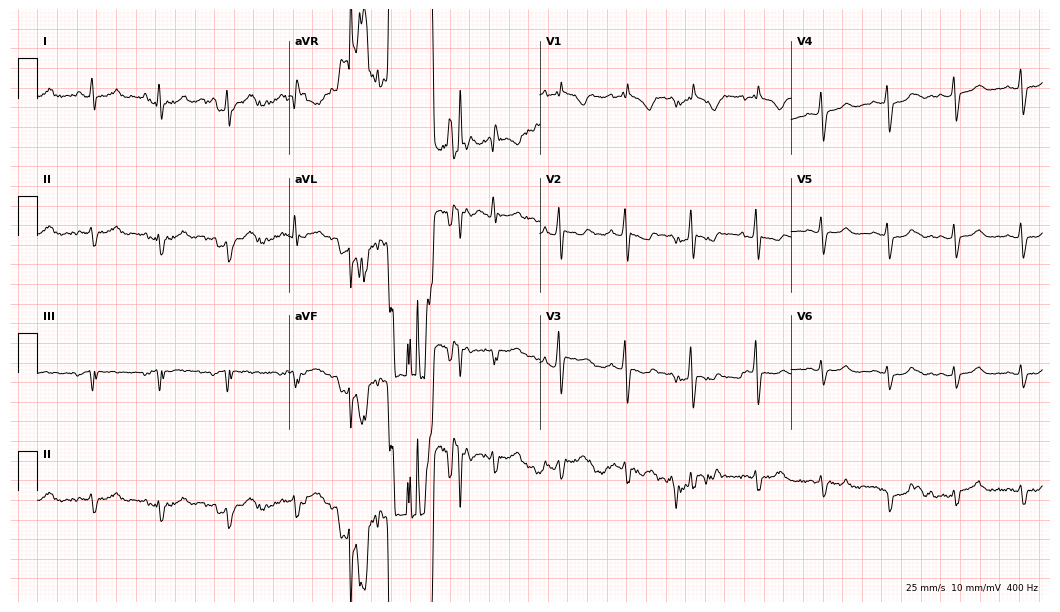
ECG — a woman, 46 years old. Labelled as a normal ECG.